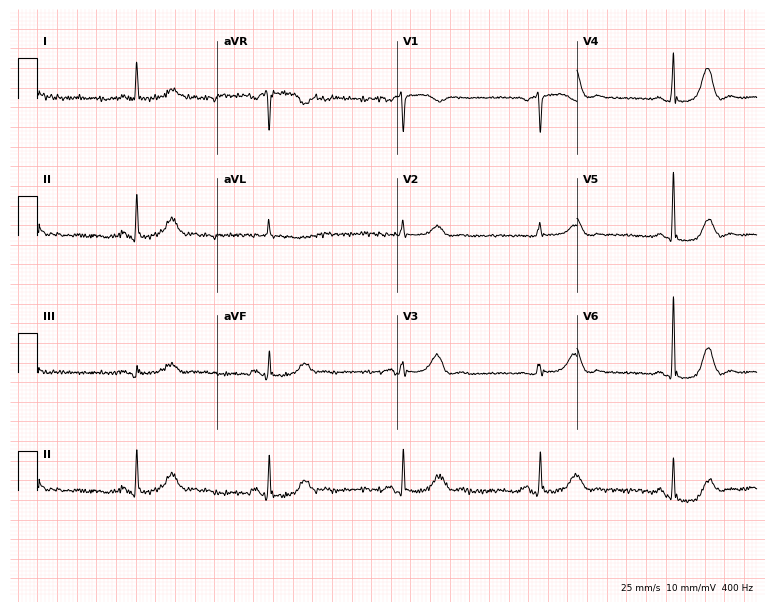
12-lead ECG (7.3-second recording at 400 Hz) from a female patient, 76 years old. Findings include sinus bradycardia (a sinus rate of 50 beats per minute or less).